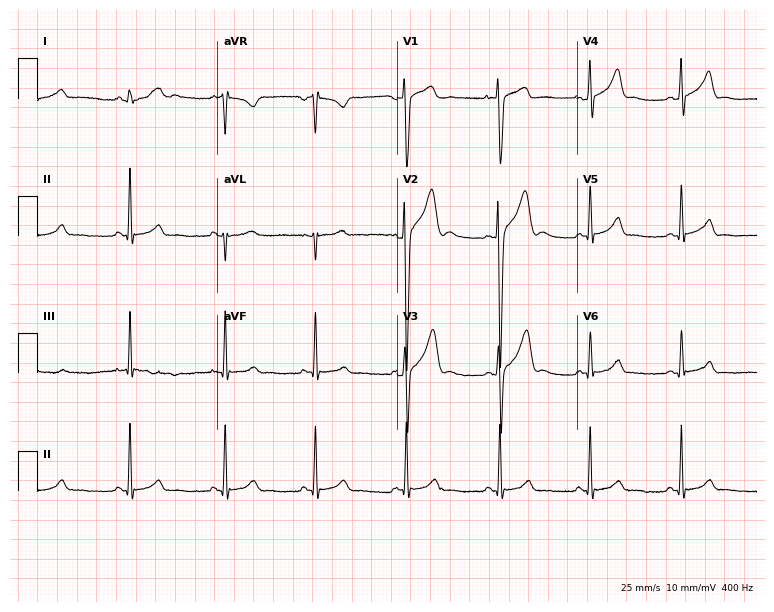
12-lead ECG from a man, 22 years old. Screened for six findings — first-degree AV block, right bundle branch block, left bundle branch block, sinus bradycardia, atrial fibrillation, sinus tachycardia — none is recorded. Findings outside these six are not listed.